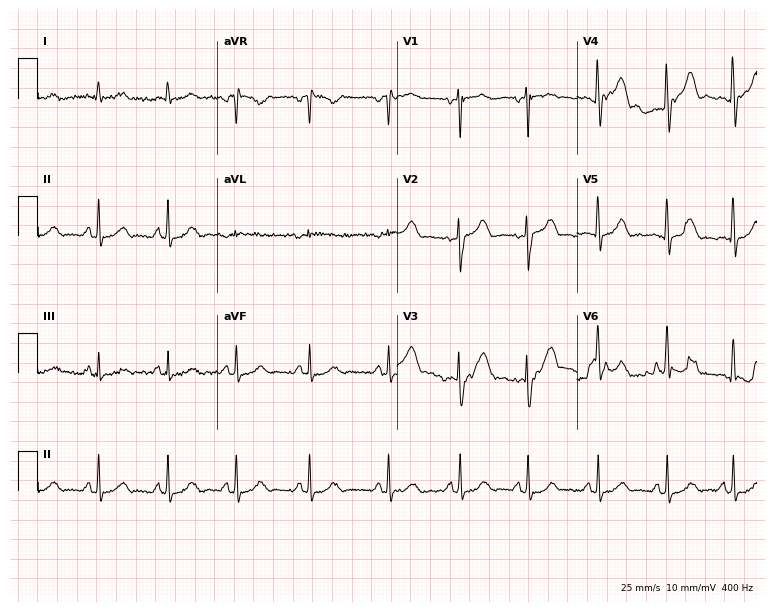
Electrocardiogram (7.3-second recording at 400 Hz), a male, 52 years old. Of the six screened findings (first-degree AV block, right bundle branch block, left bundle branch block, sinus bradycardia, atrial fibrillation, sinus tachycardia), none is recorded. Only these six findings were labelled.